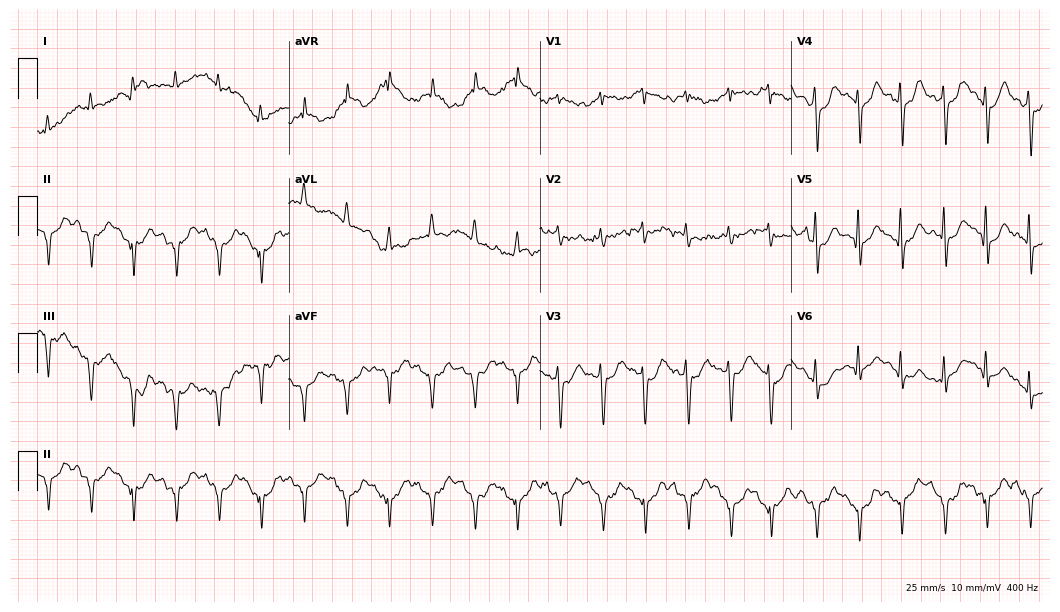
Resting 12-lead electrocardiogram. Patient: a 75-year-old man. None of these six findings is recorded: first-degree AV block, right bundle branch block, left bundle branch block, sinus bradycardia, atrial fibrillation, sinus tachycardia. Findings outside these six are not listed.